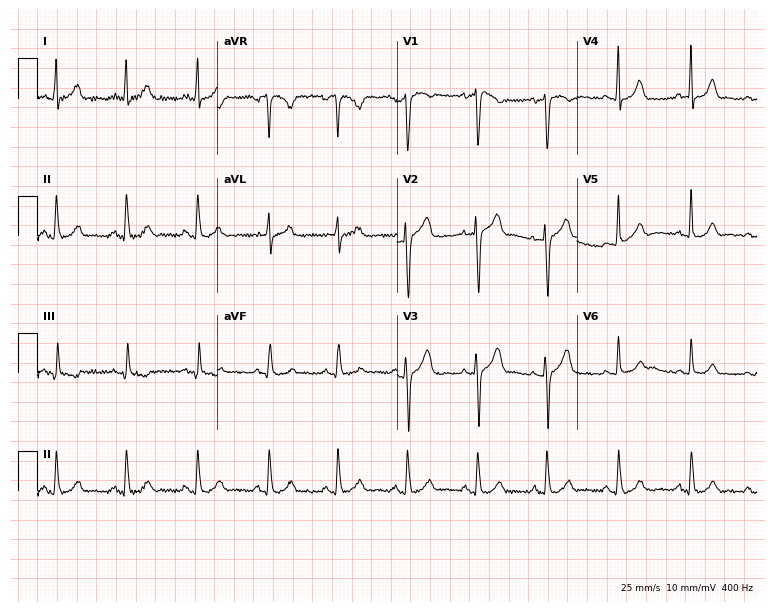
12-lead ECG from a woman, 39 years old. Labelled as a normal ECG.